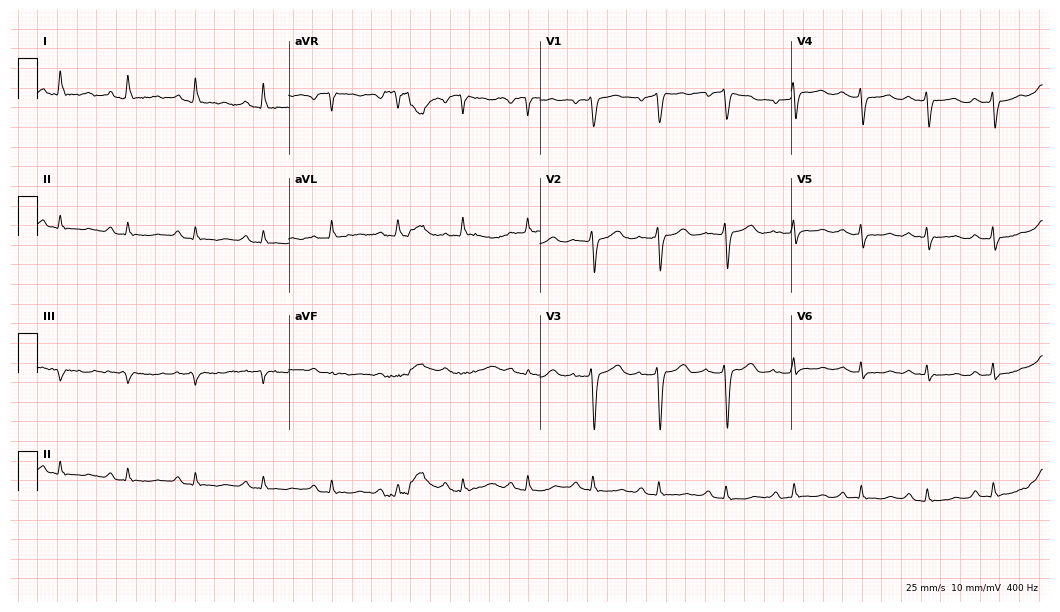
ECG (10.2-second recording at 400 Hz) — a female, 68 years old. Screened for six findings — first-degree AV block, right bundle branch block, left bundle branch block, sinus bradycardia, atrial fibrillation, sinus tachycardia — none is recorded. Findings outside these six are not listed.